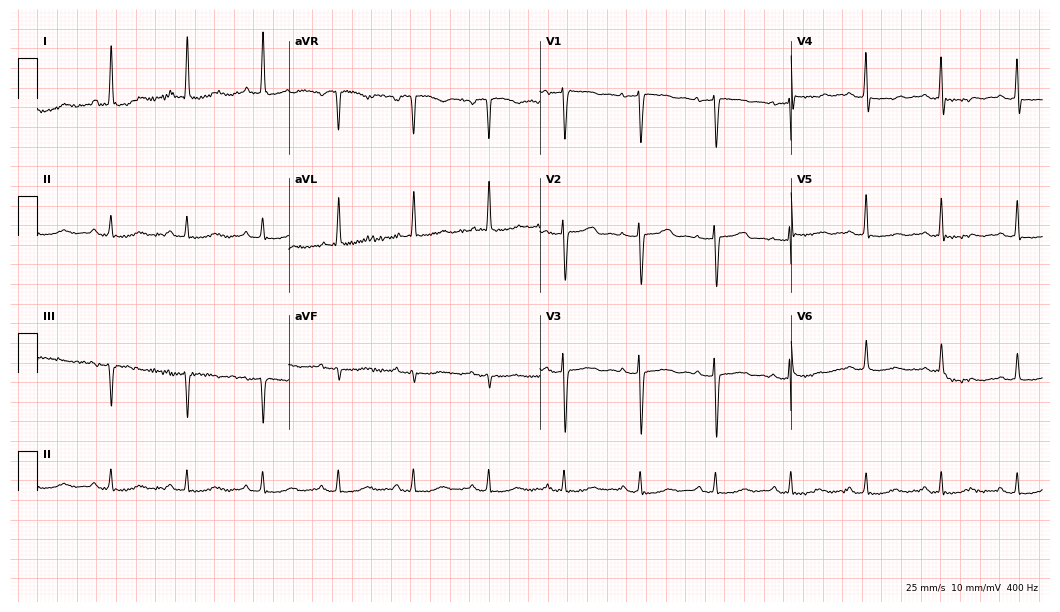
Resting 12-lead electrocardiogram (10.2-second recording at 400 Hz). Patient: a woman, 78 years old. None of these six findings is recorded: first-degree AV block, right bundle branch block, left bundle branch block, sinus bradycardia, atrial fibrillation, sinus tachycardia.